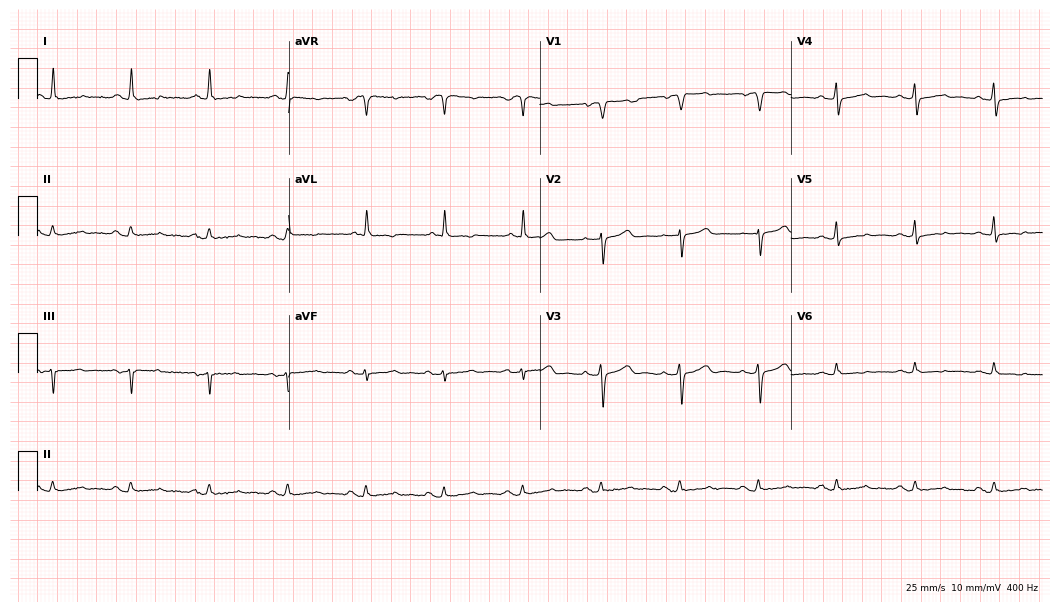
Standard 12-lead ECG recorded from a 65-year-old woman (10.2-second recording at 400 Hz). None of these six findings is recorded: first-degree AV block, right bundle branch block, left bundle branch block, sinus bradycardia, atrial fibrillation, sinus tachycardia.